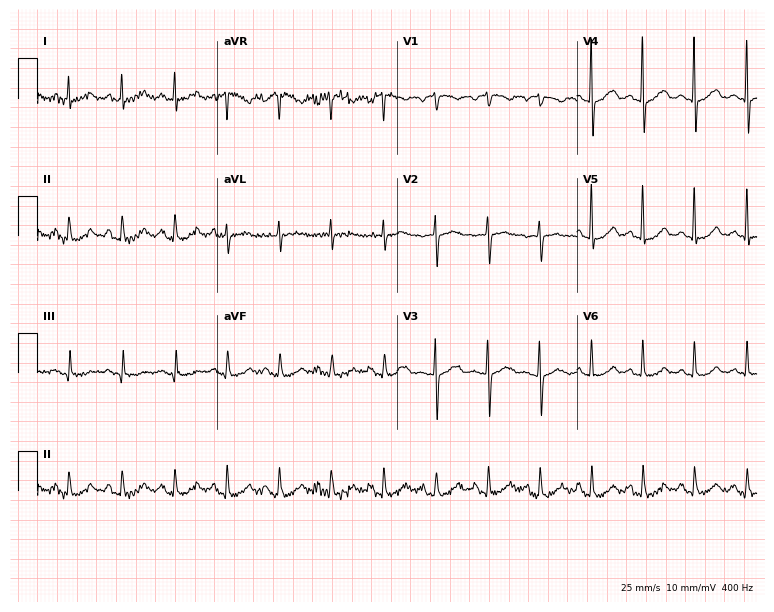
Electrocardiogram (7.3-second recording at 400 Hz), an 81-year-old woman. Interpretation includes sinus tachycardia (a sinus rate of 100 beats per minute or more).